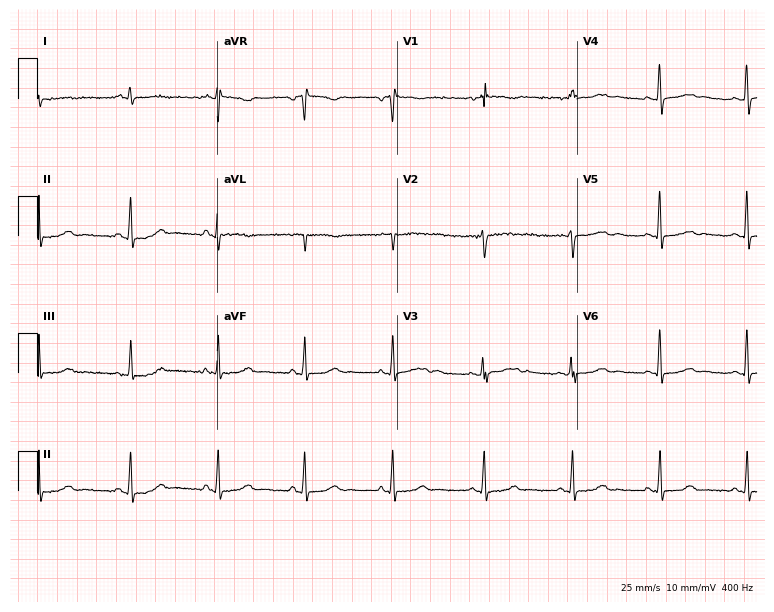
12-lead ECG from a 35-year-old female patient (7.3-second recording at 400 Hz). Recorded interpretation: within normal limits.